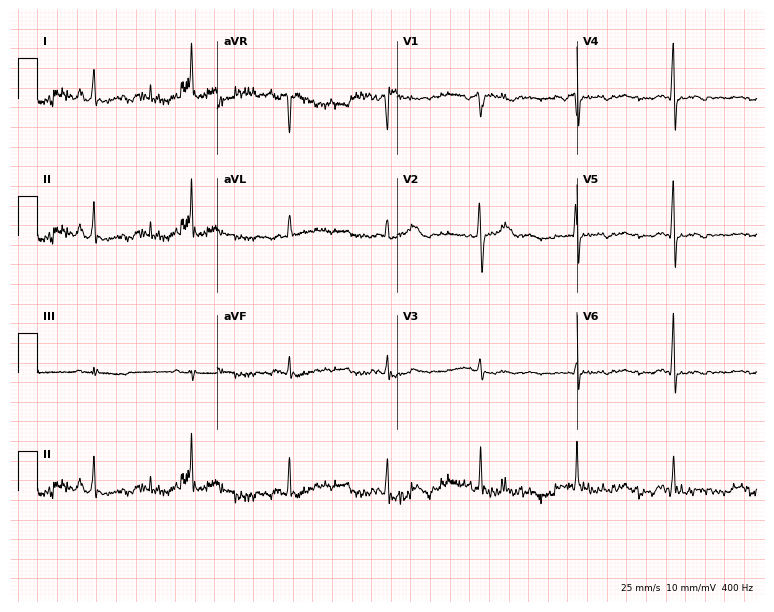
12-lead ECG from a female, 51 years old. No first-degree AV block, right bundle branch block, left bundle branch block, sinus bradycardia, atrial fibrillation or sinus tachycardia recorded for this tracing.